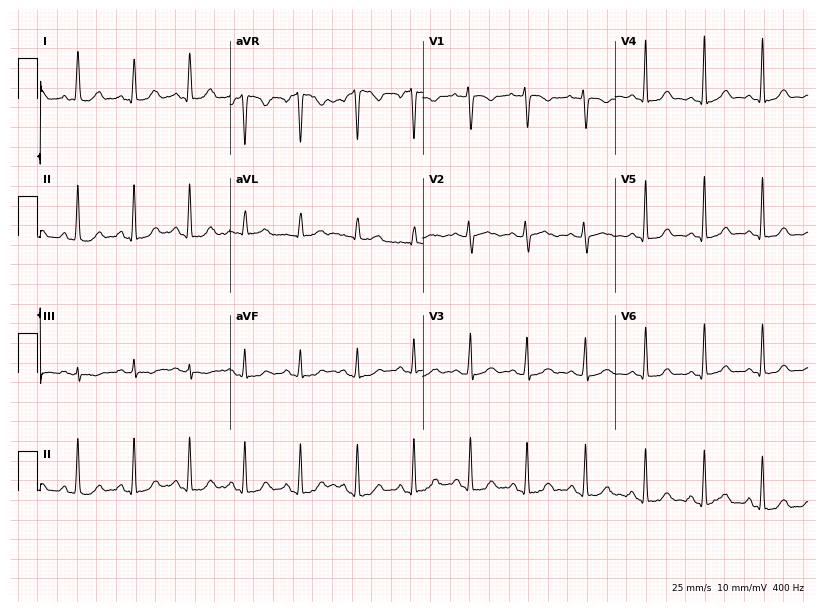
Resting 12-lead electrocardiogram. Patient: a 22-year-old female. The tracing shows sinus tachycardia (a sinus rate of 100 beats per minute or more).